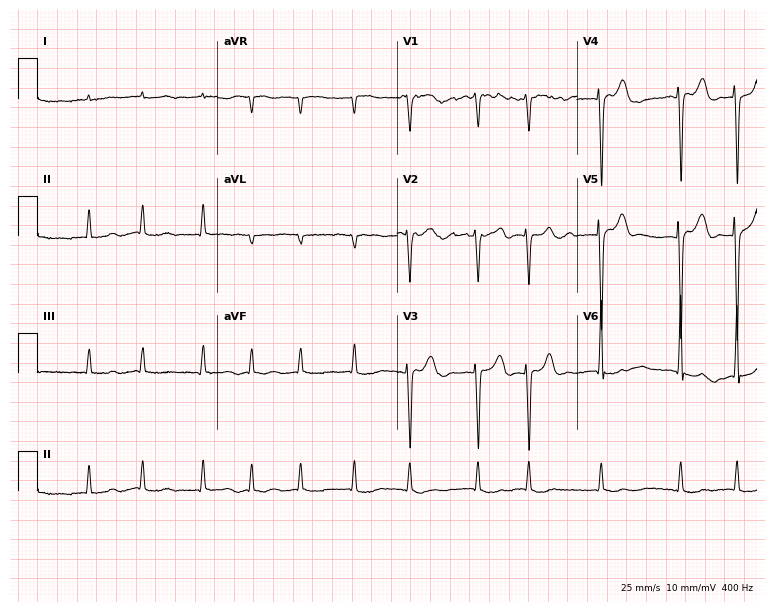
Electrocardiogram (7.3-second recording at 400 Hz), a woman, 81 years old. Interpretation includes atrial fibrillation (AF).